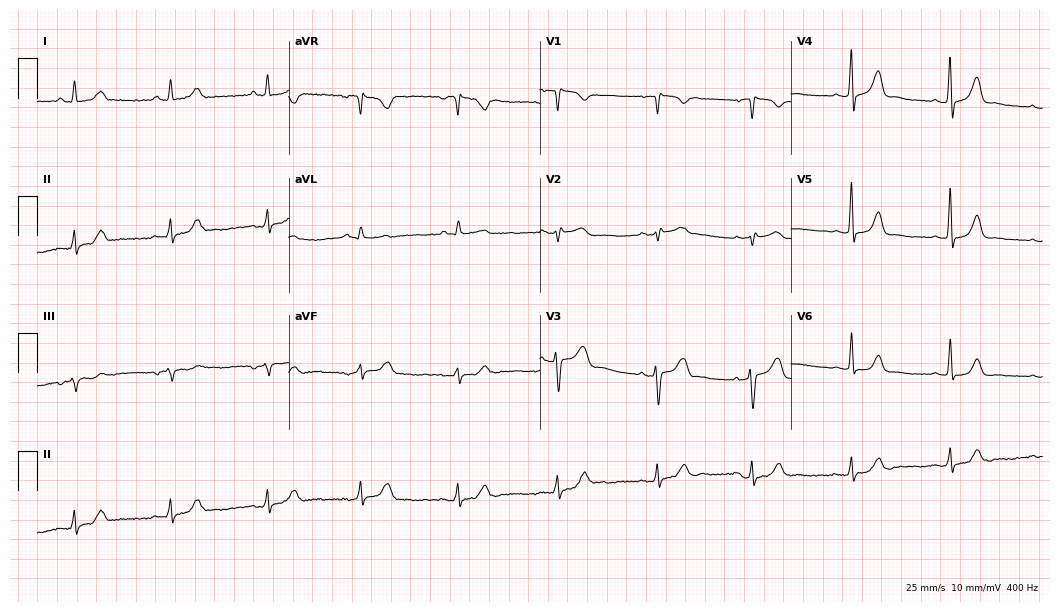
12-lead ECG from a 52-year-old woman. Screened for six findings — first-degree AV block, right bundle branch block, left bundle branch block, sinus bradycardia, atrial fibrillation, sinus tachycardia — none is recorded.